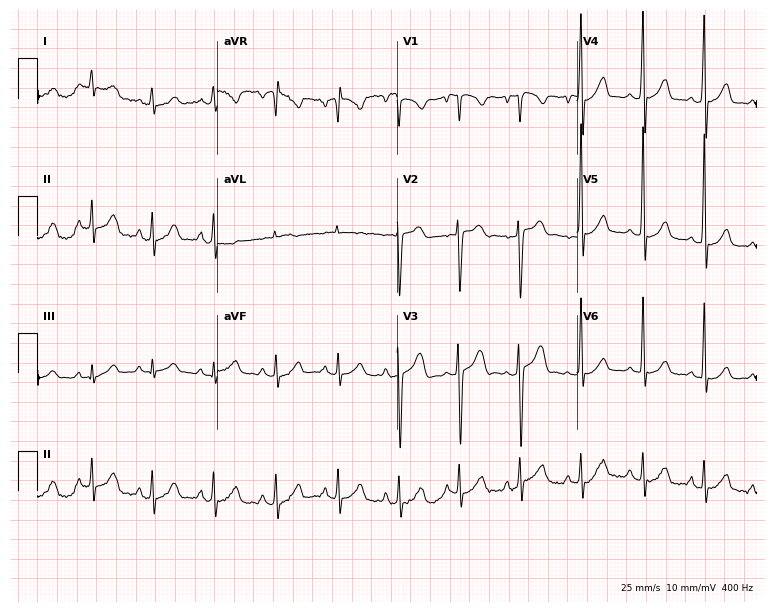
12-lead ECG from a male, 18 years old. Screened for six findings — first-degree AV block, right bundle branch block, left bundle branch block, sinus bradycardia, atrial fibrillation, sinus tachycardia — none is recorded. Findings outside these six are not listed.